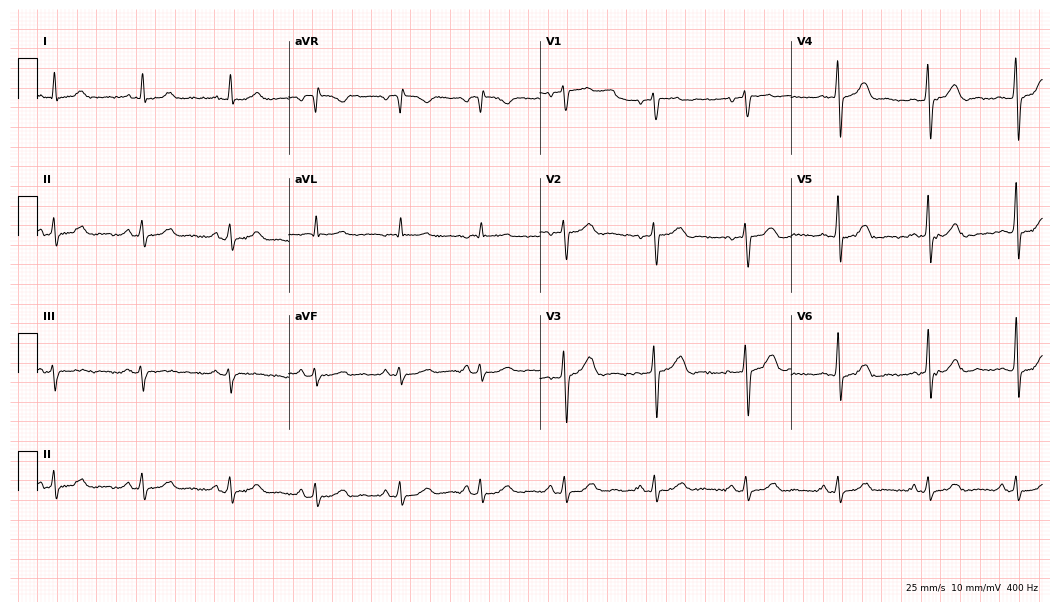
Standard 12-lead ECG recorded from a man, 68 years old (10.2-second recording at 400 Hz). None of these six findings is recorded: first-degree AV block, right bundle branch block, left bundle branch block, sinus bradycardia, atrial fibrillation, sinus tachycardia. Findings outside these six are not listed.